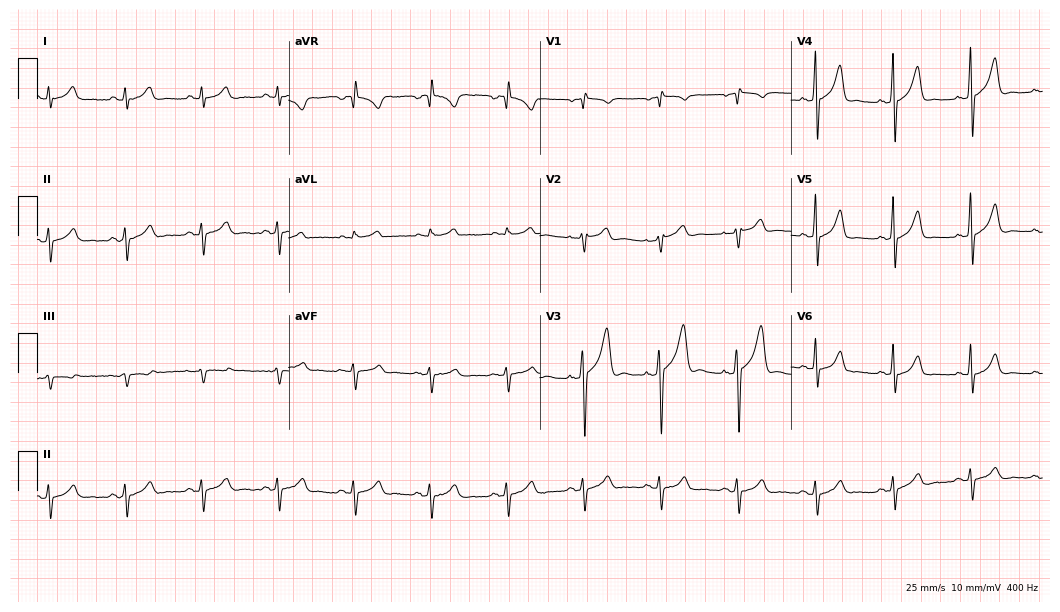
12-lead ECG from a 43-year-old male patient (10.2-second recording at 400 Hz). No first-degree AV block, right bundle branch block, left bundle branch block, sinus bradycardia, atrial fibrillation or sinus tachycardia recorded for this tracing.